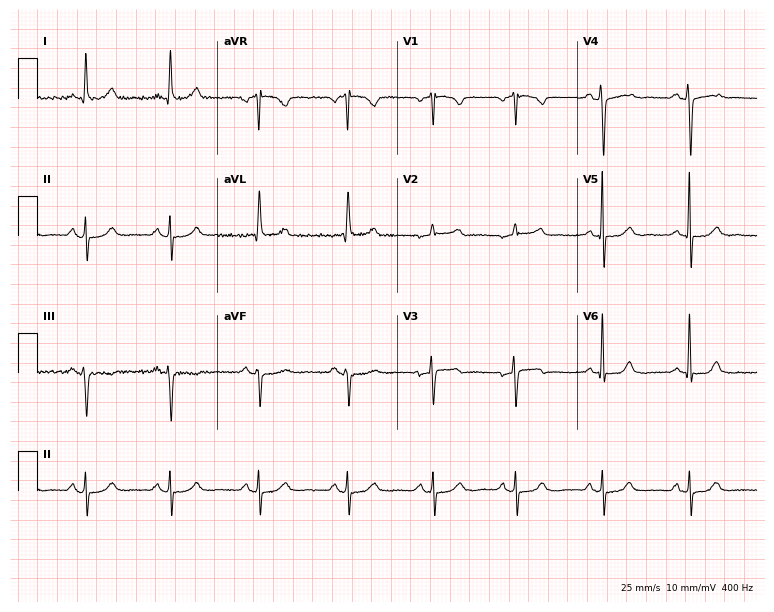
Resting 12-lead electrocardiogram (7.3-second recording at 400 Hz). Patient: a 71-year-old female. None of these six findings is recorded: first-degree AV block, right bundle branch block, left bundle branch block, sinus bradycardia, atrial fibrillation, sinus tachycardia. Findings outside these six are not listed.